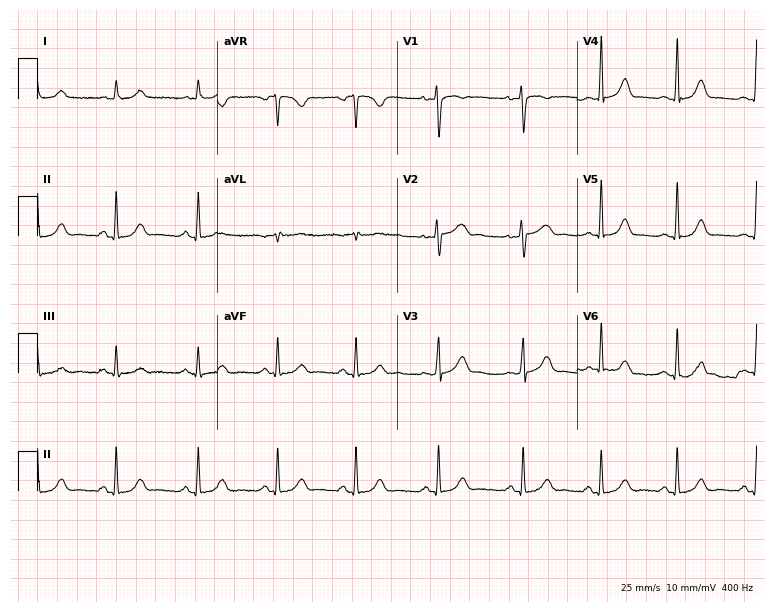
Resting 12-lead electrocardiogram. Patient: a woman, 35 years old. Read as a normal ECG.